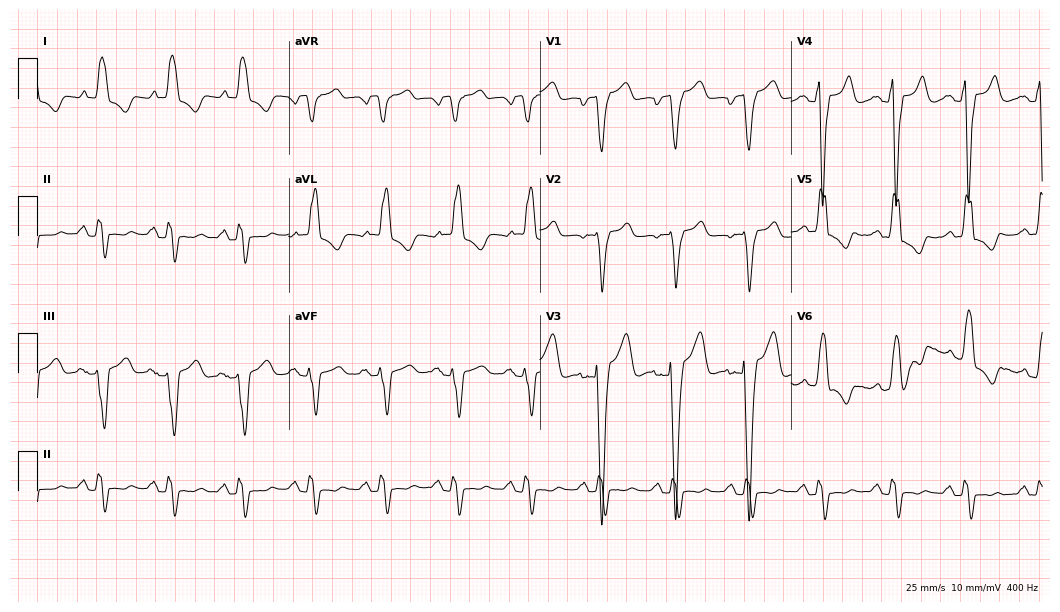
12-lead ECG from a female patient, 65 years old (10.2-second recording at 400 Hz). Shows left bundle branch block (LBBB).